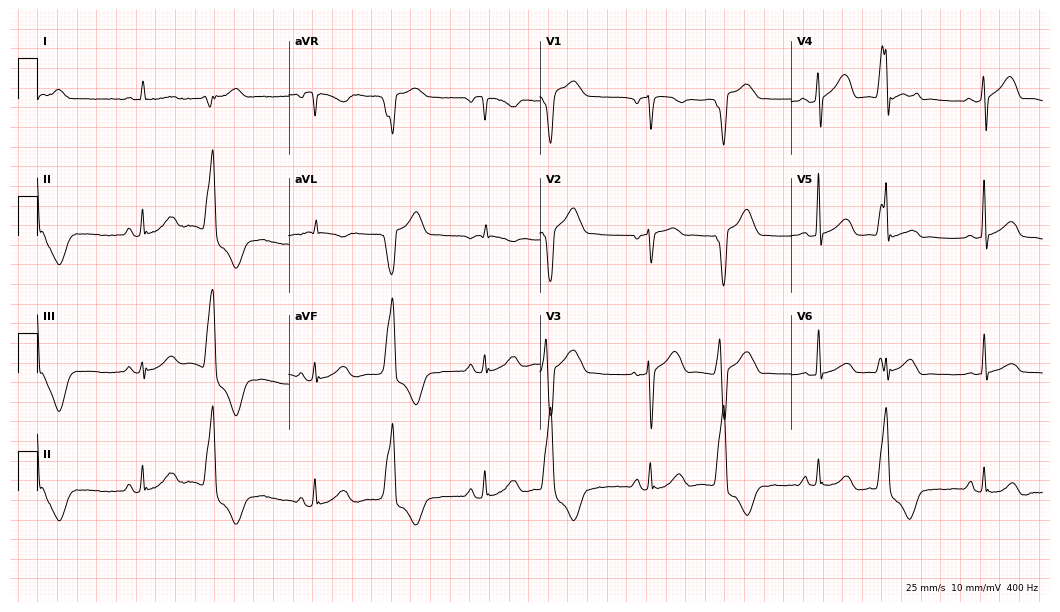
12-lead ECG from a 79-year-old female patient. Screened for six findings — first-degree AV block, right bundle branch block, left bundle branch block, sinus bradycardia, atrial fibrillation, sinus tachycardia — none is recorded. Findings outside these six are not listed.